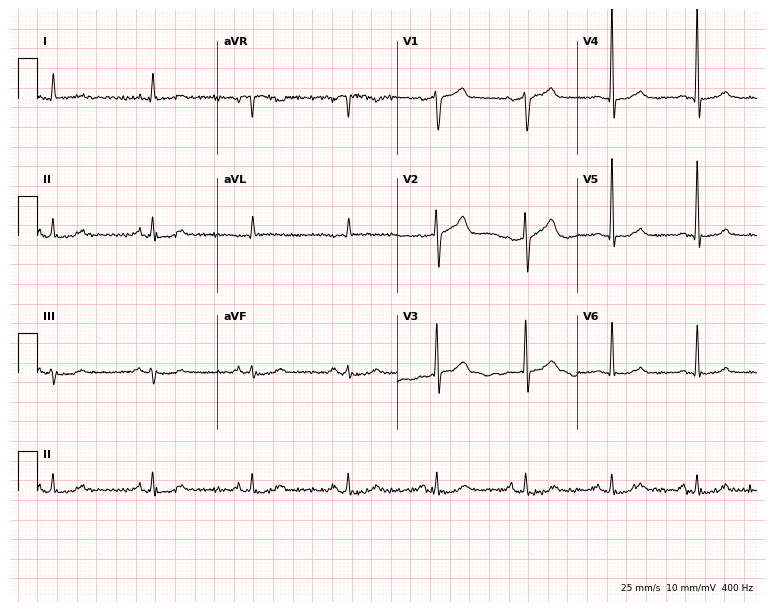
Electrocardiogram, an 82-year-old woman. Of the six screened findings (first-degree AV block, right bundle branch block, left bundle branch block, sinus bradycardia, atrial fibrillation, sinus tachycardia), none is recorded. Findings outside these six are not listed.